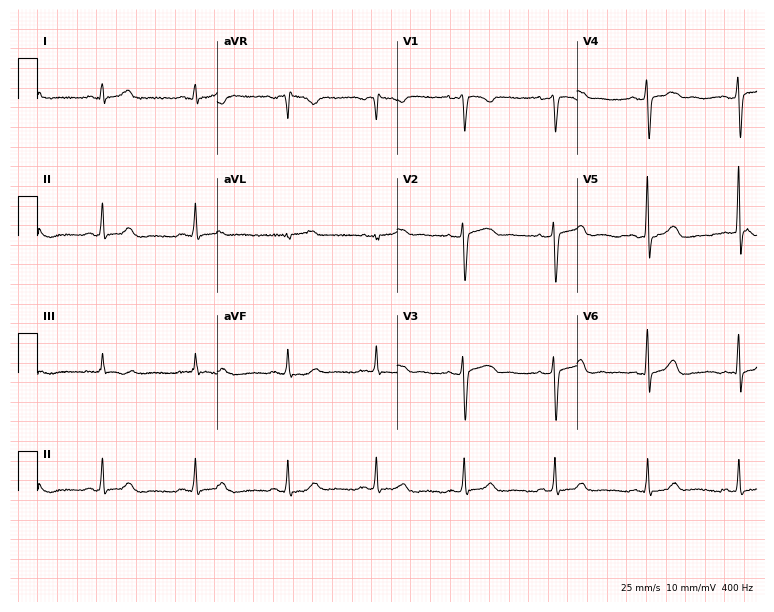
Electrocardiogram (7.3-second recording at 400 Hz), a female patient, 39 years old. Overall reading on record: normal ECG.